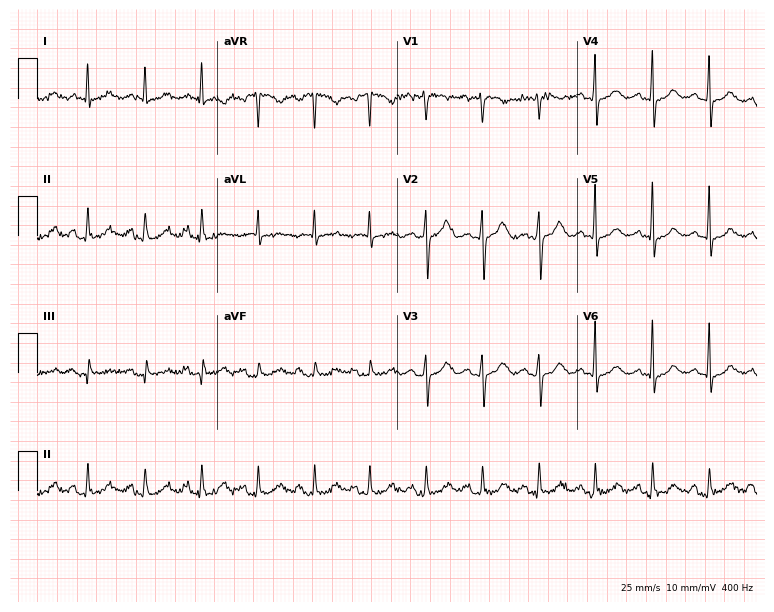
Electrocardiogram (7.3-second recording at 400 Hz), a 73-year-old man. Of the six screened findings (first-degree AV block, right bundle branch block, left bundle branch block, sinus bradycardia, atrial fibrillation, sinus tachycardia), none is recorded.